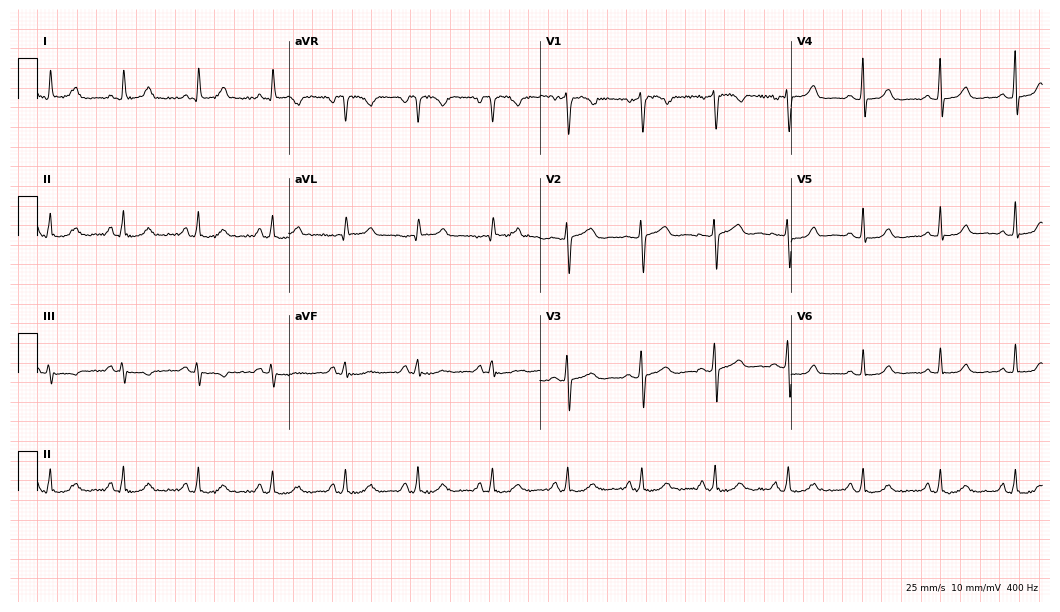
12-lead ECG from a 56-year-old female (10.2-second recording at 400 Hz). Recorded interpretation: within normal limits.